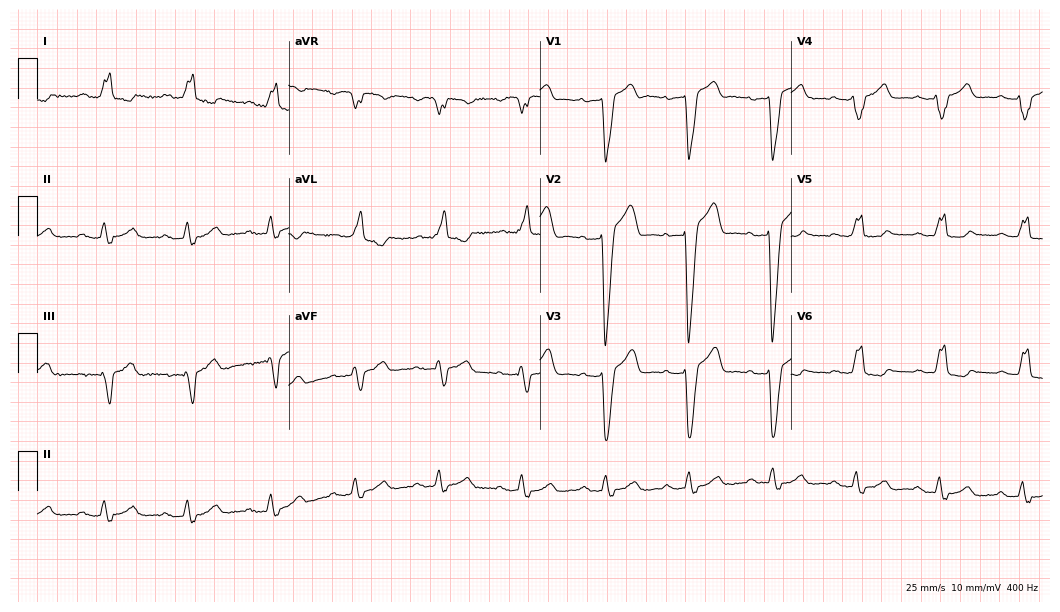
Electrocardiogram (10.2-second recording at 400 Hz), a 71-year-old male. Interpretation includes first-degree AV block, left bundle branch block (LBBB).